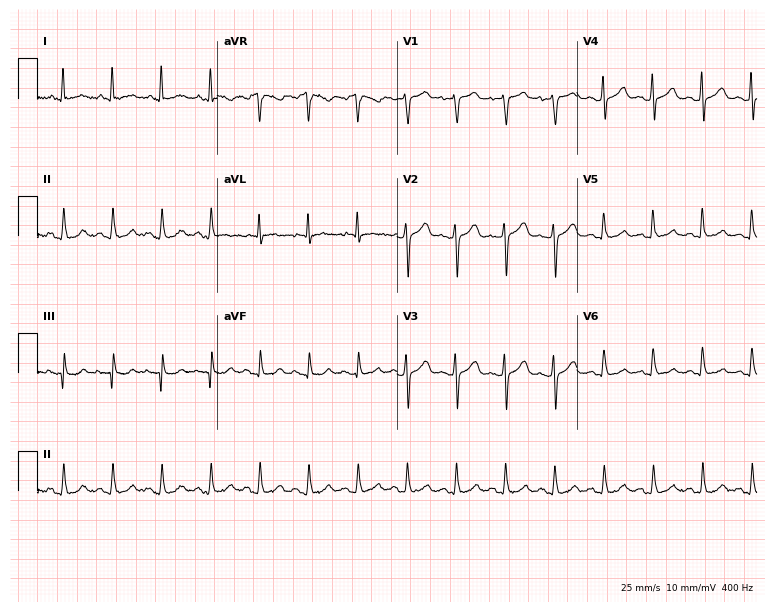
Standard 12-lead ECG recorded from a female, 56 years old. The tracing shows sinus tachycardia (a sinus rate of 100 beats per minute or more).